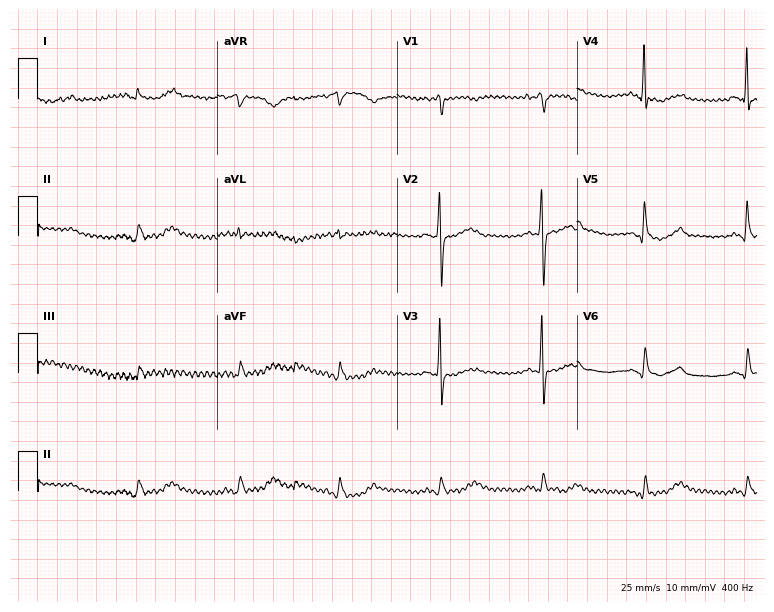
12-lead ECG from an 80-year-old male. Screened for six findings — first-degree AV block, right bundle branch block, left bundle branch block, sinus bradycardia, atrial fibrillation, sinus tachycardia — none is recorded. Other findings, if any, are not listed.